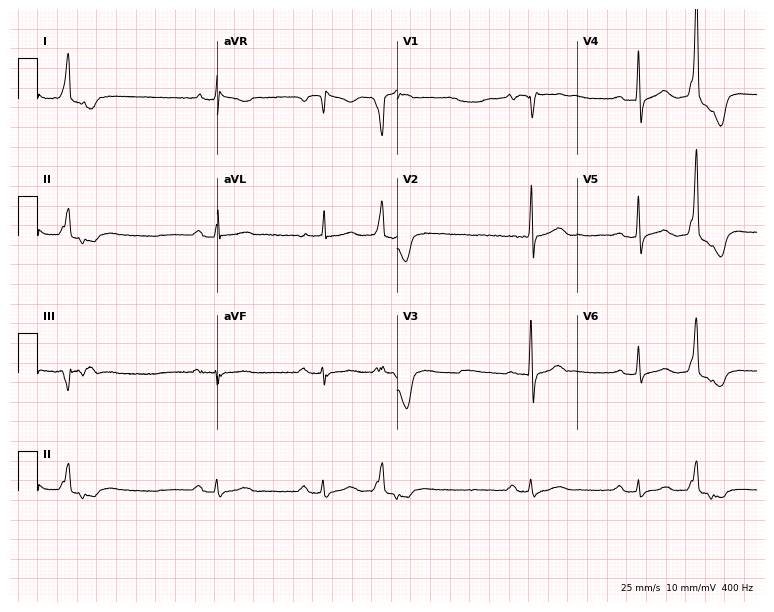
Resting 12-lead electrocardiogram. Patient: a male, 77 years old. None of these six findings is recorded: first-degree AV block, right bundle branch block, left bundle branch block, sinus bradycardia, atrial fibrillation, sinus tachycardia.